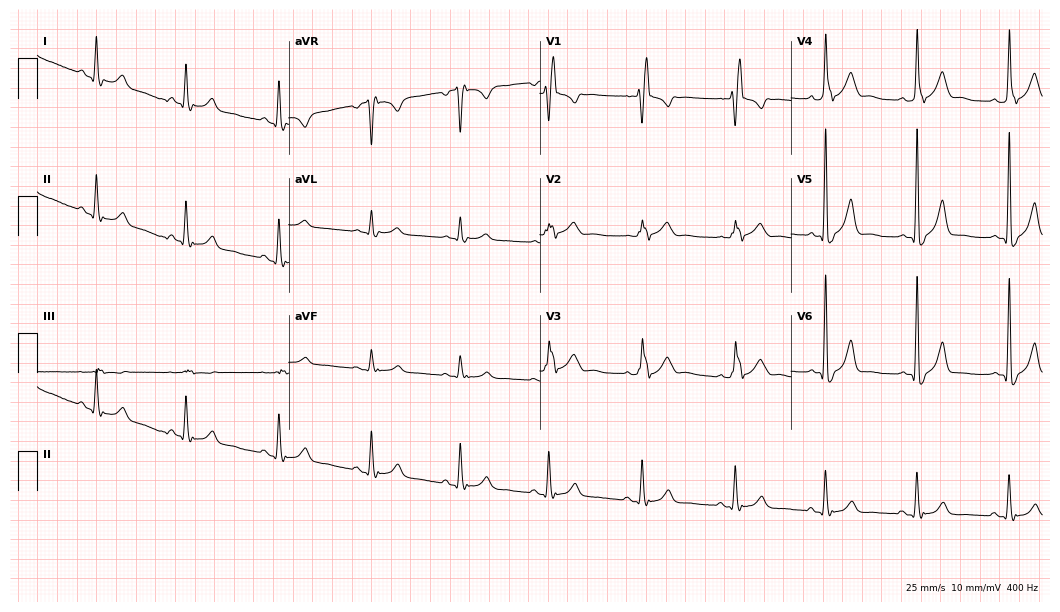
Resting 12-lead electrocardiogram. Patient: a male, 59 years old. The tracing shows right bundle branch block.